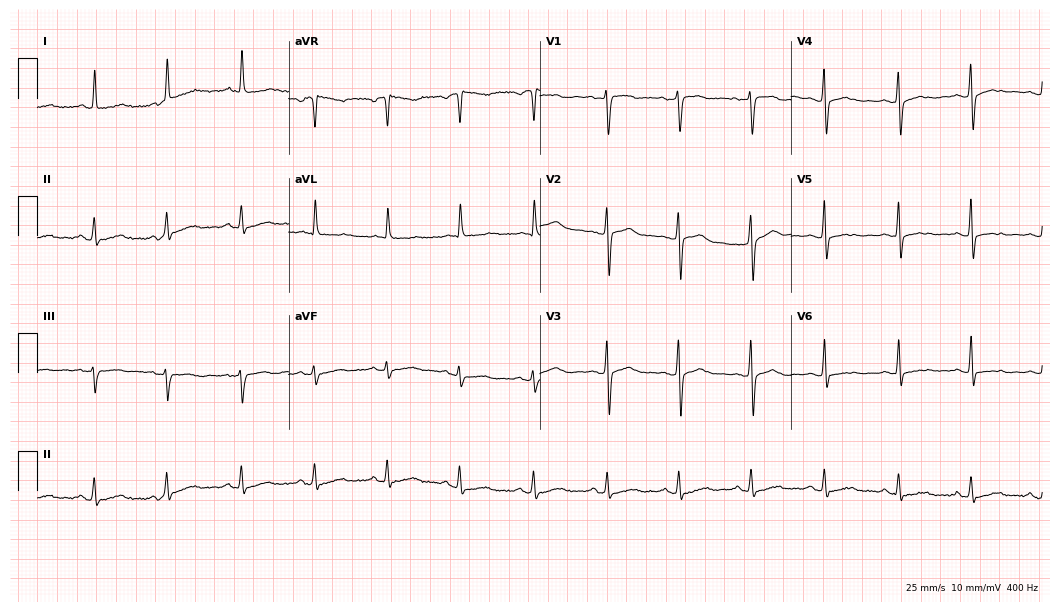
Standard 12-lead ECG recorded from a 65-year-old woman. None of these six findings is recorded: first-degree AV block, right bundle branch block (RBBB), left bundle branch block (LBBB), sinus bradycardia, atrial fibrillation (AF), sinus tachycardia. Other findings, if any, are not listed.